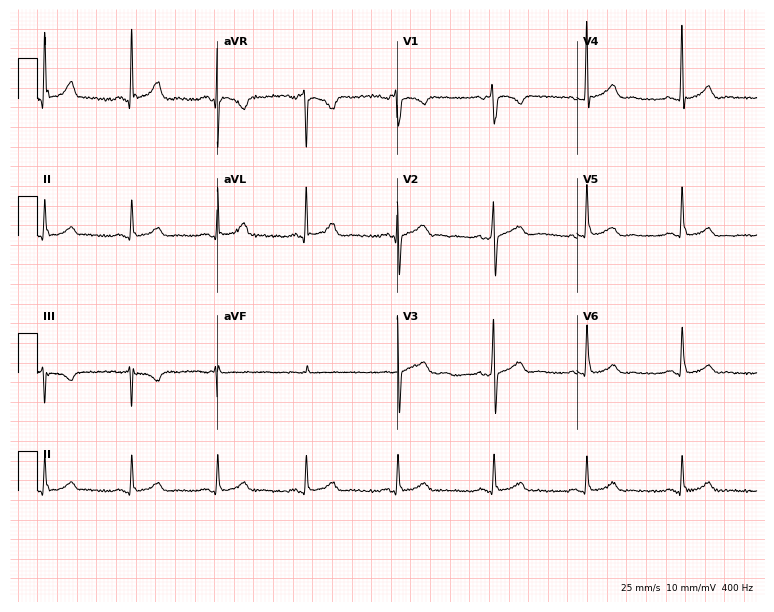
12-lead ECG from a female, 47 years old. No first-degree AV block, right bundle branch block (RBBB), left bundle branch block (LBBB), sinus bradycardia, atrial fibrillation (AF) or sinus tachycardia recorded for this tracing. Other findings, if any, are not listed.